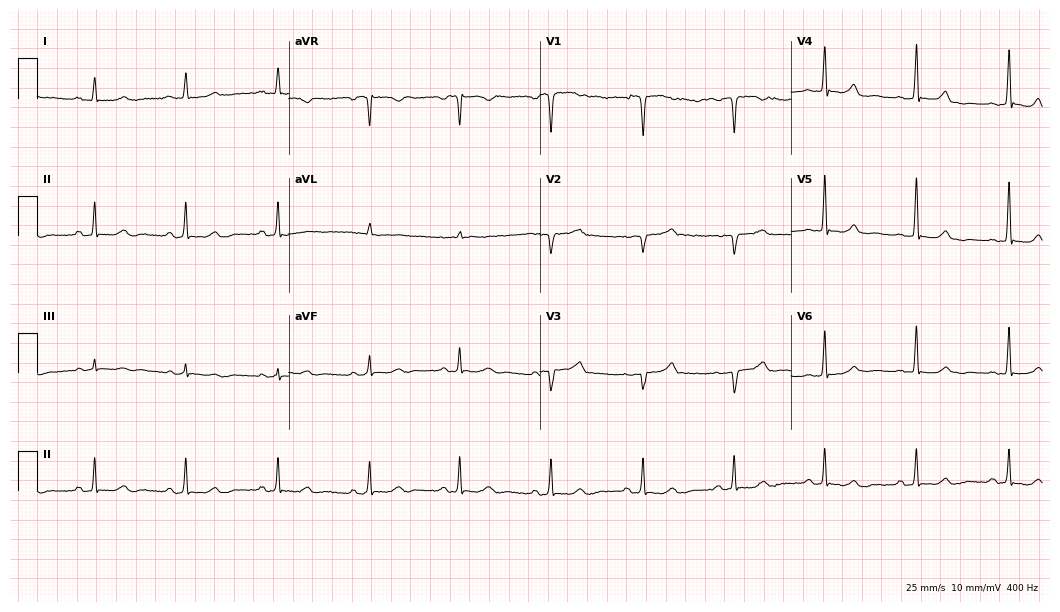
12-lead ECG (10.2-second recording at 400 Hz) from an 81-year-old man. Screened for six findings — first-degree AV block, right bundle branch block, left bundle branch block, sinus bradycardia, atrial fibrillation, sinus tachycardia — none is recorded.